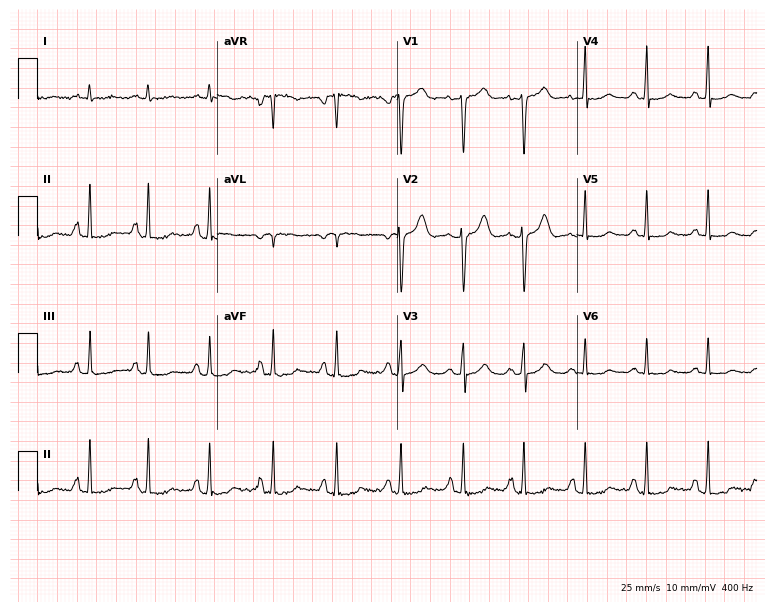
12-lead ECG from a female, 30 years old. No first-degree AV block, right bundle branch block (RBBB), left bundle branch block (LBBB), sinus bradycardia, atrial fibrillation (AF) or sinus tachycardia recorded for this tracing. Other findings, if any, are not listed.